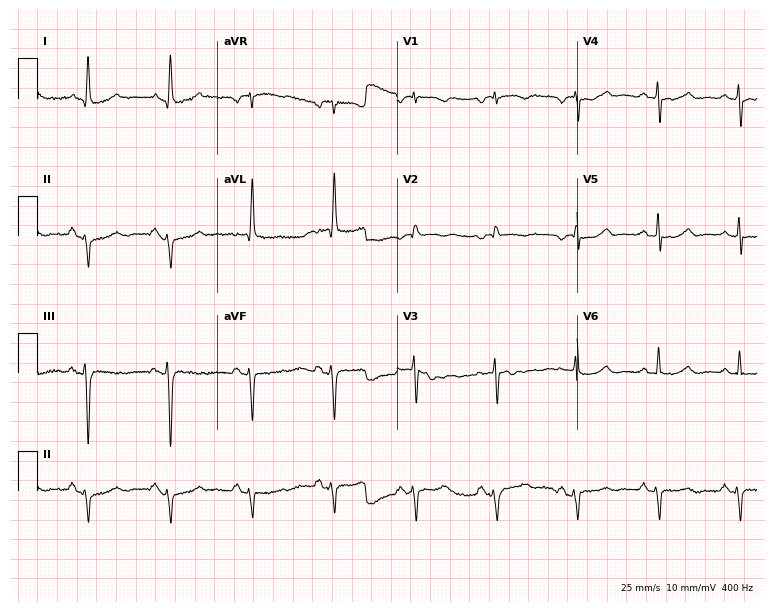
ECG (7.3-second recording at 400 Hz) — a 74-year-old female. Screened for six findings — first-degree AV block, right bundle branch block (RBBB), left bundle branch block (LBBB), sinus bradycardia, atrial fibrillation (AF), sinus tachycardia — none is recorded.